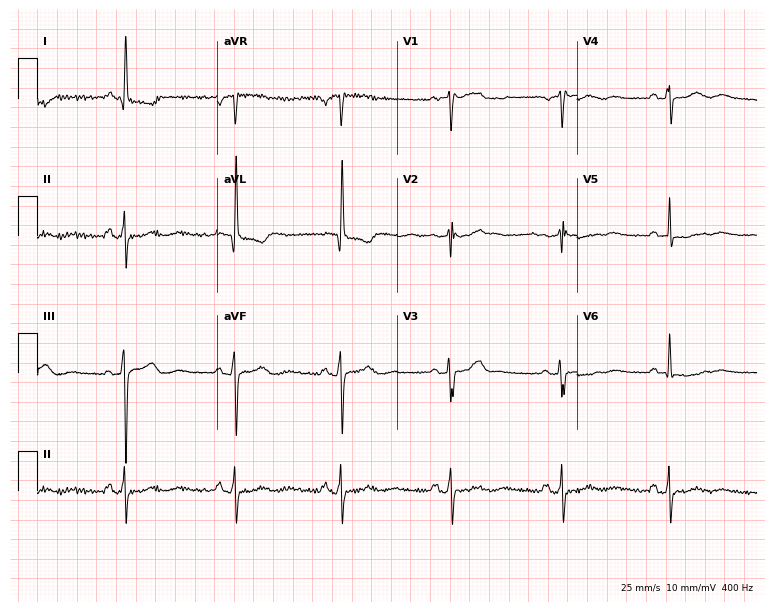
Resting 12-lead electrocardiogram (7.3-second recording at 400 Hz). Patient: a woman, 50 years old. None of these six findings is recorded: first-degree AV block, right bundle branch block, left bundle branch block, sinus bradycardia, atrial fibrillation, sinus tachycardia.